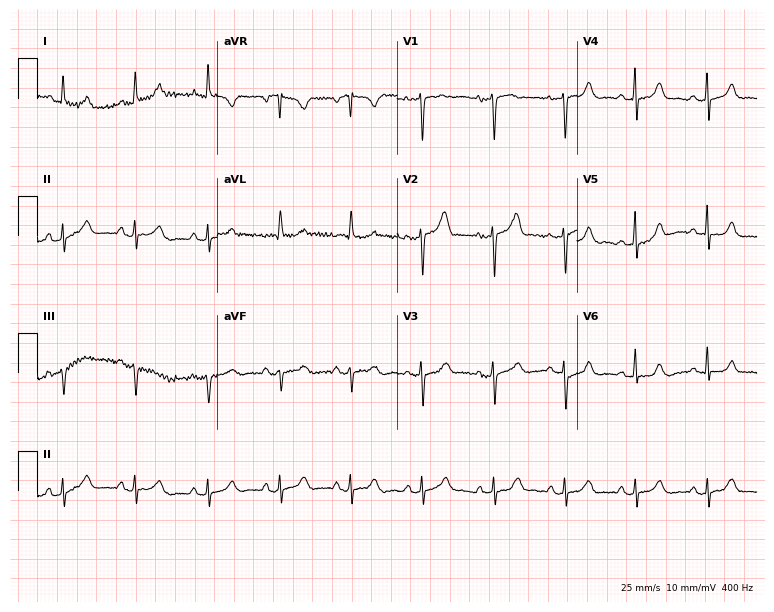
12-lead ECG from a 55-year-old female (7.3-second recording at 400 Hz). Recorded interpretation: within normal limits.